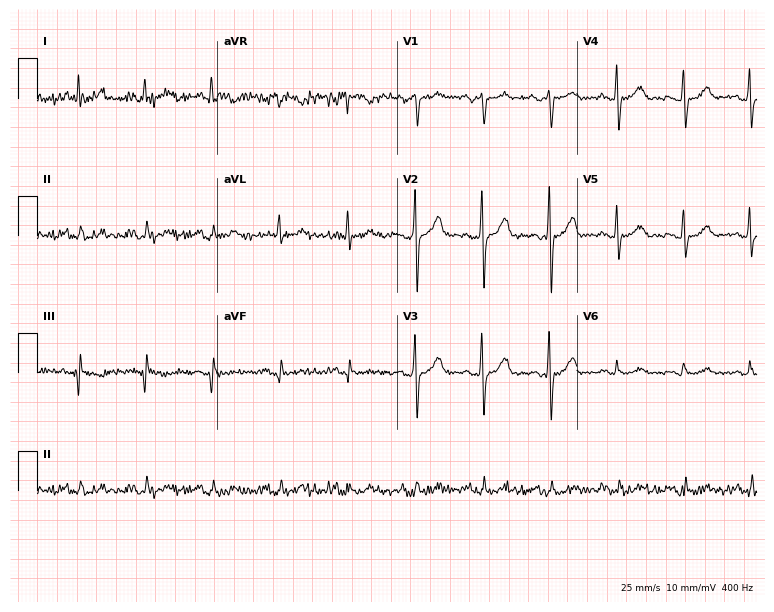
Electrocardiogram, a male, 76 years old. Of the six screened findings (first-degree AV block, right bundle branch block (RBBB), left bundle branch block (LBBB), sinus bradycardia, atrial fibrillation (AF), sinus tachycardia), none is recorded.